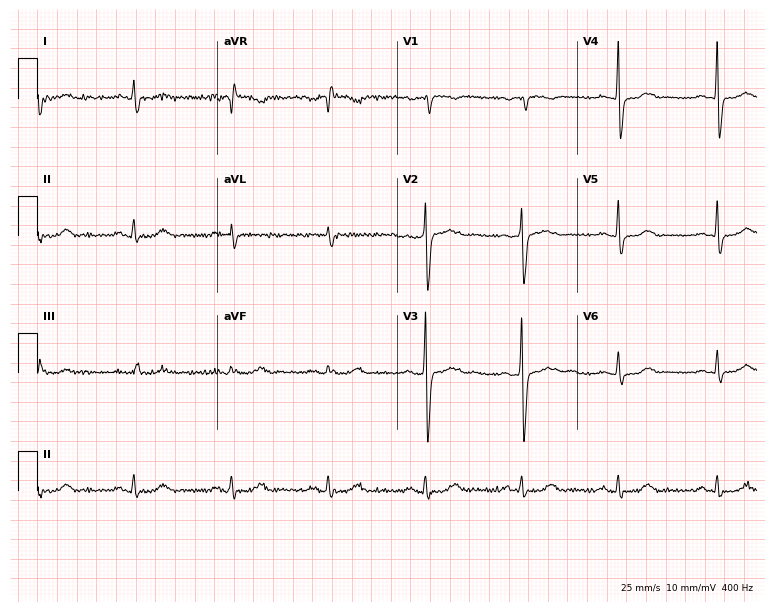
ECG (7.3-second recording at 400 Hz) — a 62-year-old male. Screened for six findings — first-degree AV block, right bundle branch block, left bundle branch block, sinus bradycardia, atrial fibrillation, sinus tachycardia — none is recorded. Other findings, if any, are not listed.